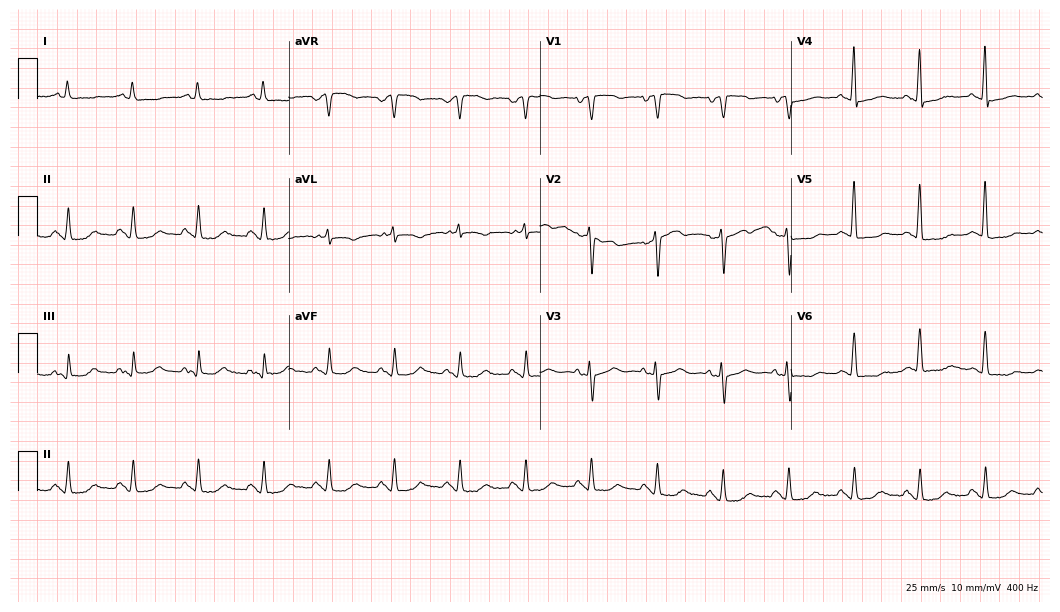
12-lead ECG from a male, 82 years old. No first-degree AV block, right bundle branch block, left bundle branch block, sinus bradycardia, atrial fibrillation or sinus tachycardia recorded for this tracing.